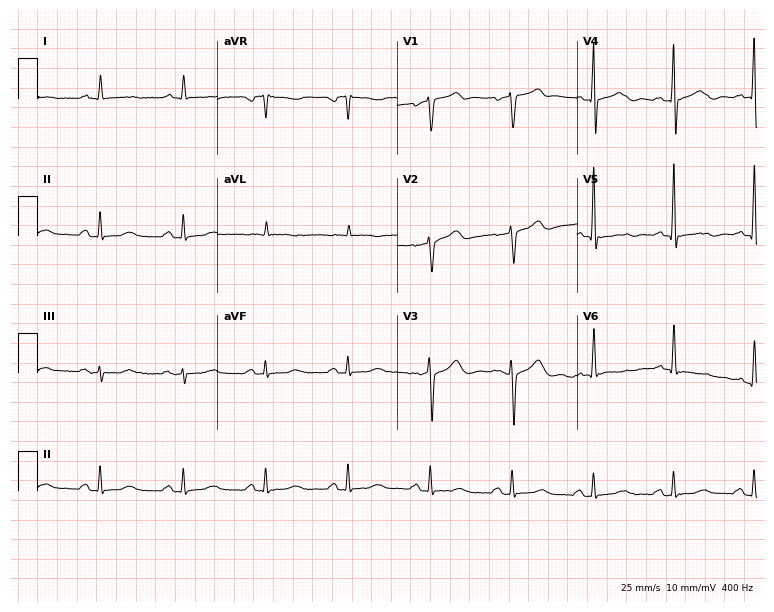
12-lead ECG from a male patient, 80 years old. No first-degree AV block, right bundle branch block, left bundle branch block, sinus bradycardia, atrial fibrillation or sinus tachycardia recorded for this tracing. Only these six findings were labelled.